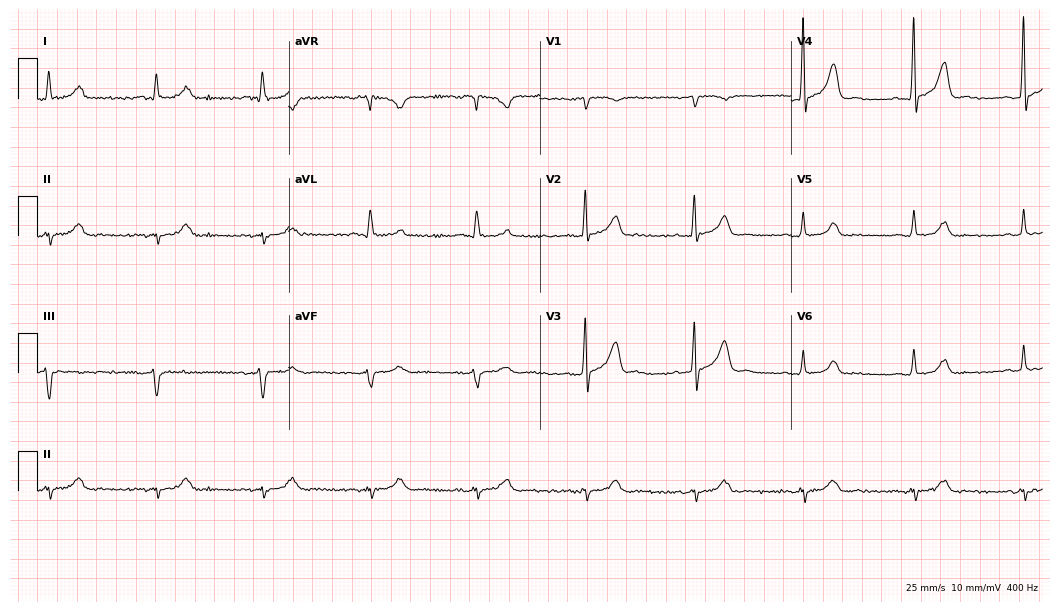
ECG (10.2-second recording at 400 Hz) — a 63-year-old male. Screened for six findings — first-degree AV block, right bundle branch block, left bundle branch block, sinus bradycardia, atrial fibrillation, sinus tachycardia — none is recorded.